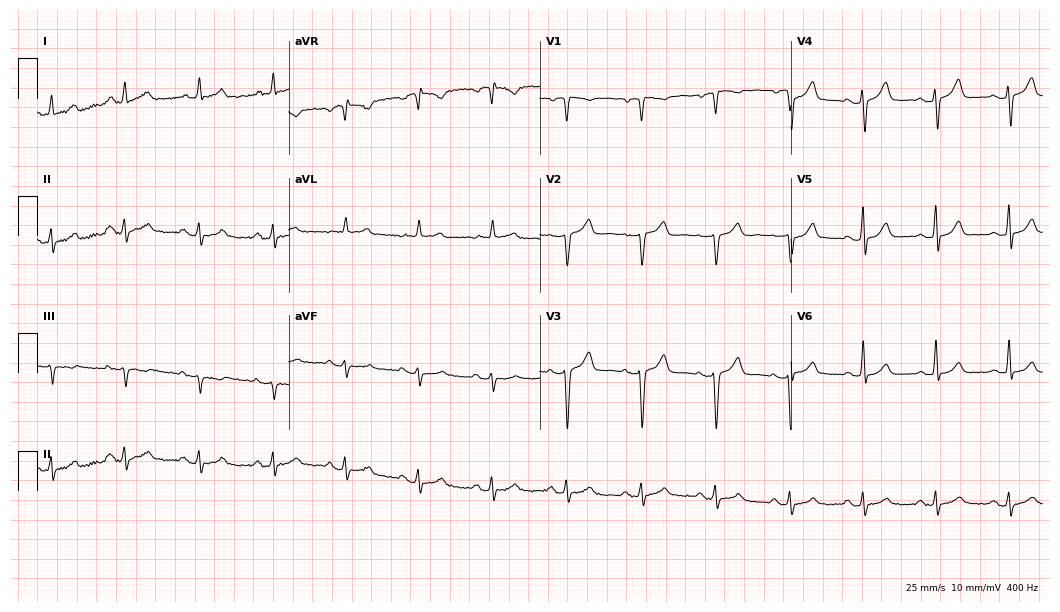
ECG (10.2-second recording at 400 Hz) — a man, 49 years old. Screened for six findings — first-degree AV block, right bundle branch block, left bundle branch block, sinus bradycardia, atrial fibrillation, sinus tachycardia — none is recorded.